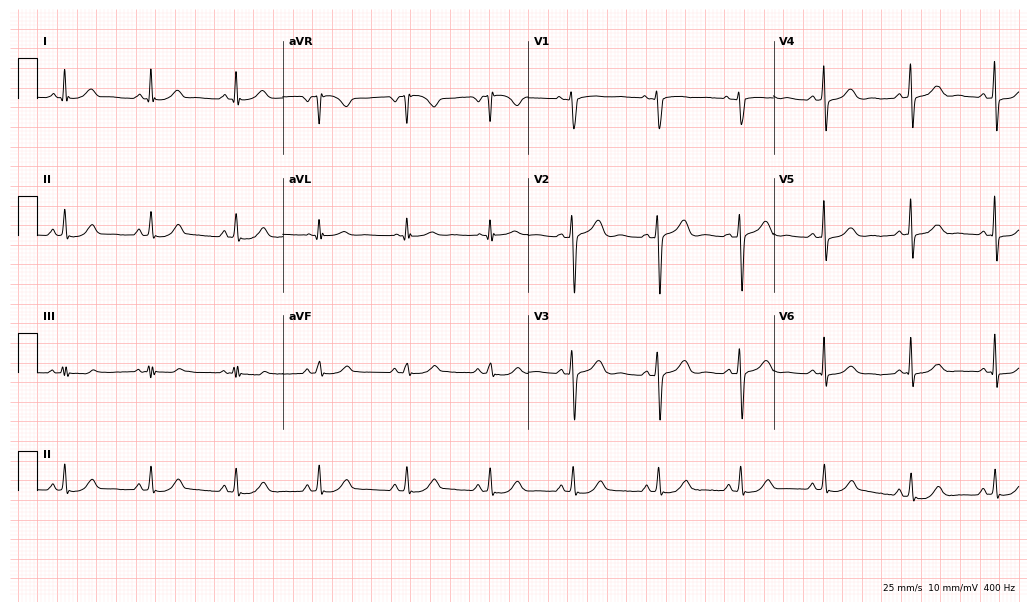
ECG (10-second recording at 400 Hz) — a woman, 47 years old. Screened for six findings — first-degree AV block, right bundle branch block, left bundle branch block, sinus bradycardia, atrial fibrillation, sinus tachycardia — none is recorded. Only these six findings were labelled.